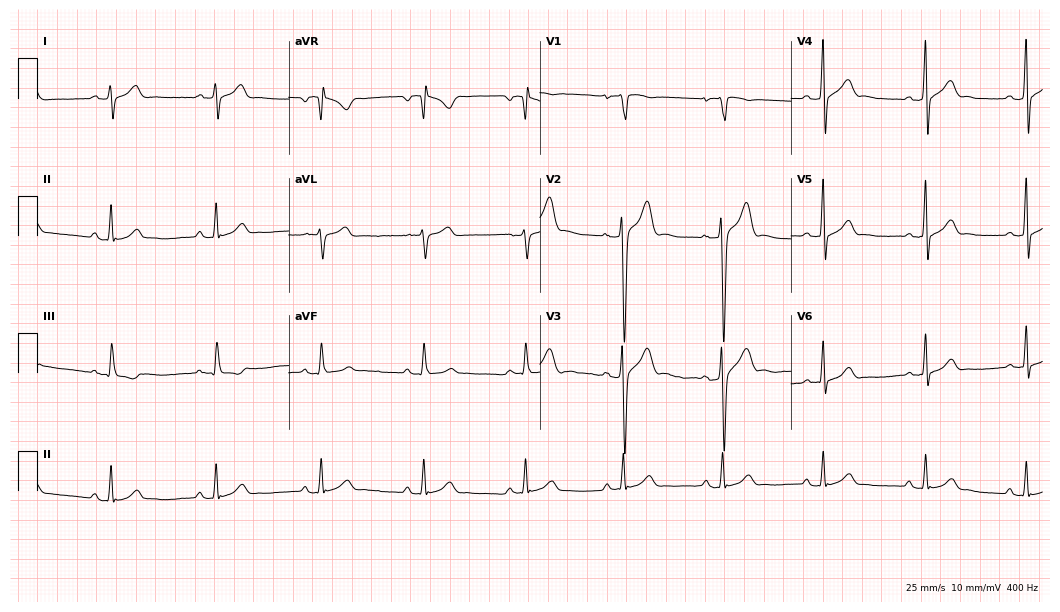
ECG — a 25-year-old male patient. Screened for six findings — first-degree AV block, right bundle branch block (RBBB), left bundle branch block (LBBB), sinus bradycardia, atrial fibrillation (AF), sinus tachycardia — none is recorded.